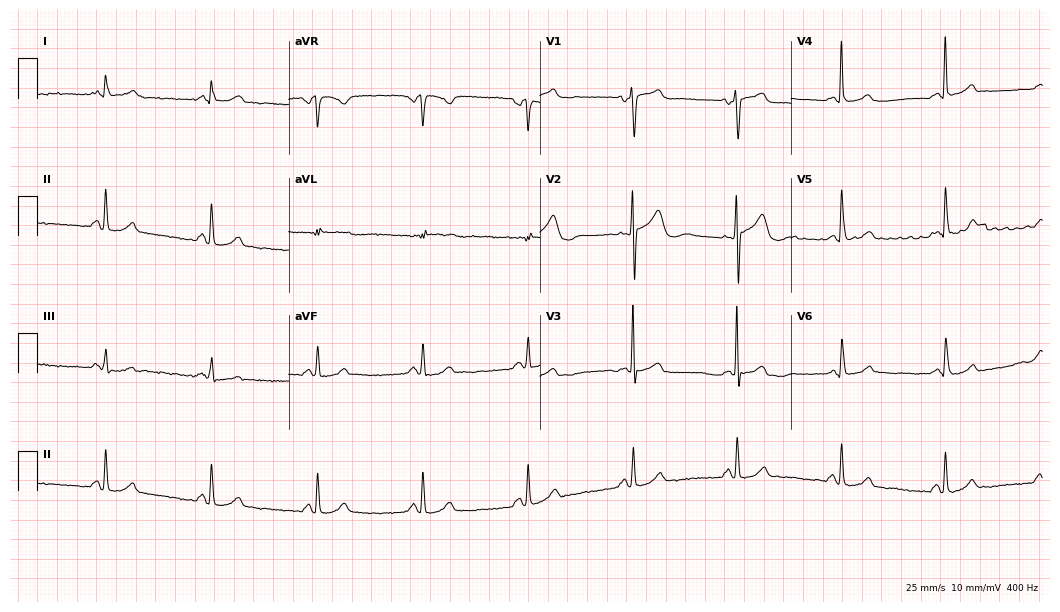
Resting 12-lead electrocardiogram (10.2-second recording at 400 Hz). Patient: a male, 62 years old. None of these six findings is recorded: first-degree AV block, right bundle branch block (RBBB), left bundle branch block (LBBB), sinus bradycardia, atrial fibrillation (AF), sinus tachycardia.